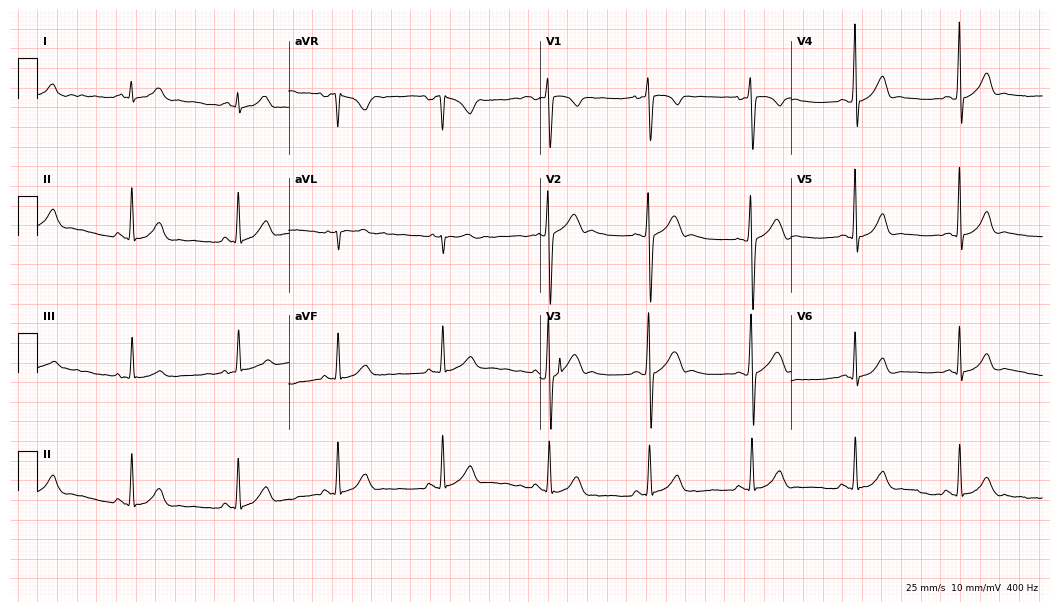
12-lead ECG from a 20-year-old male. Screened for six findings — first-degree AV block, right bundle branch block, left bundle branch block, sinus bradycardia, atrial fibrillation, sinus tachycardia — none is recorded. Other findings, if any, are not listed.